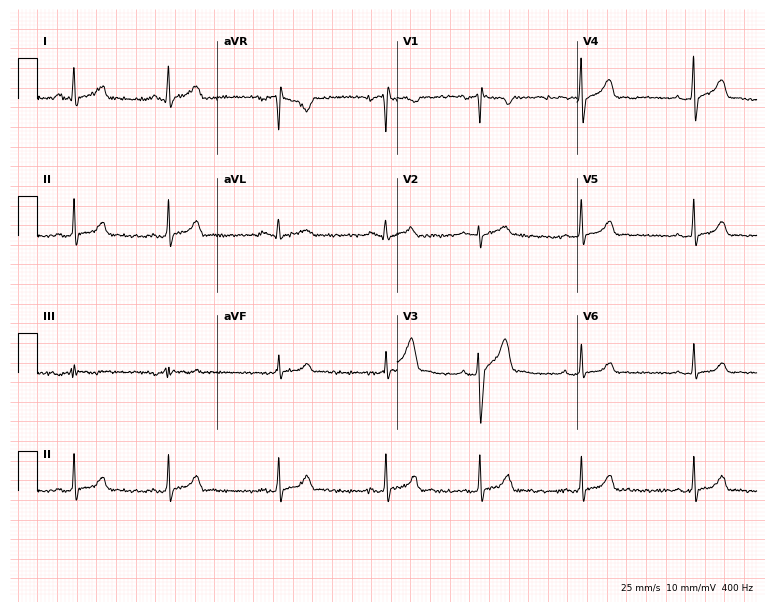
ECG (7.3-second recording at 400 Hz) — a 30-year-old male. Labelled as a normal ECG.